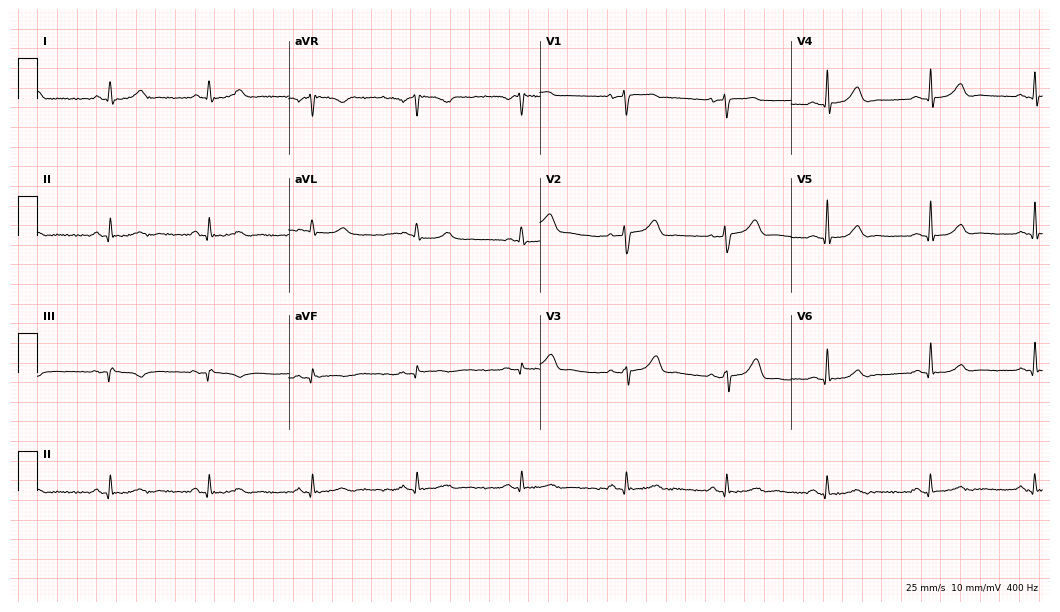
Electrocardiogram (10.2-second recording at 400 Hz), a woman, 43 years old. Overall reading on record: normal ECG.